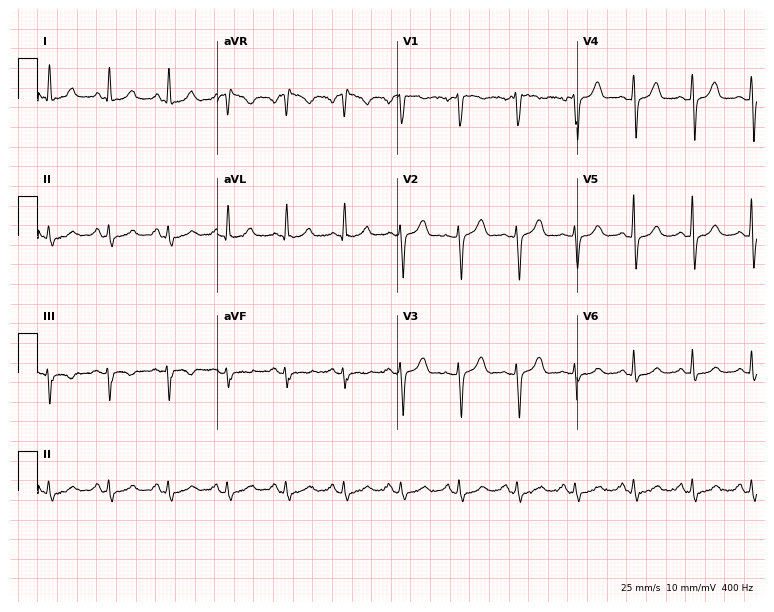
12-lead ECG (7.3-second recording at 400 Hz) from a woman, 45 years old. Screened for six findings — first-degree AV block, right bundle branch block, left bundle branch block, sinus bradycardia, atrial fibrillation, sinus tachycardia — none is recorded.